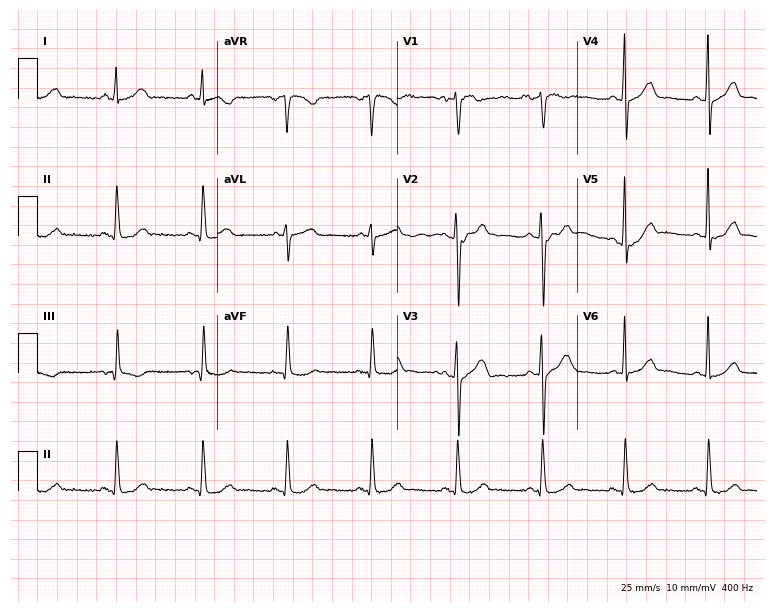
Resting 12-lead electrocardiogram. Patient: a woman, 54 years old. None of these six findings is recorded: first-degree AV block, right bundle branch block (RBBB), left bundle branch block (LBBB), sinus bradycardia, atrial fibrillation (AF), sinus tachycardia. Only these six findings were labelled.